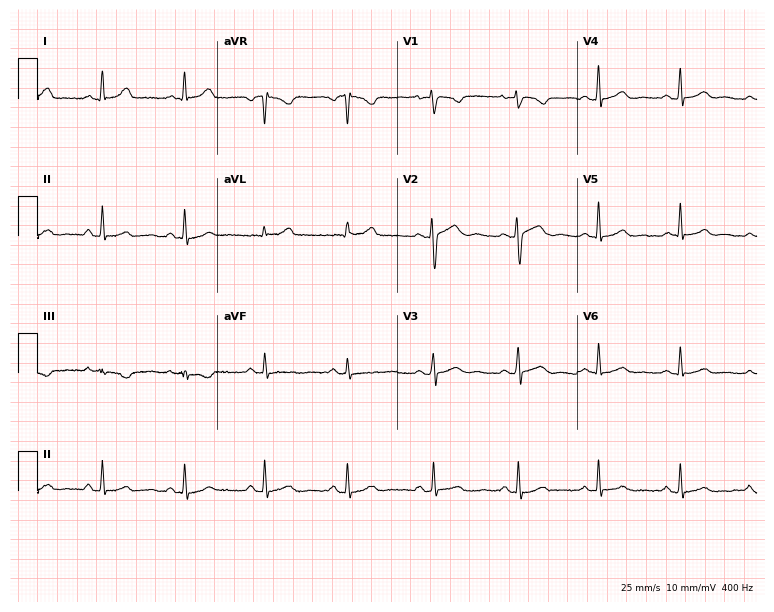
ECG (7.3-second recording at 400 Hz) — a 42-year-old female patient. Labelled as a normal ECG.